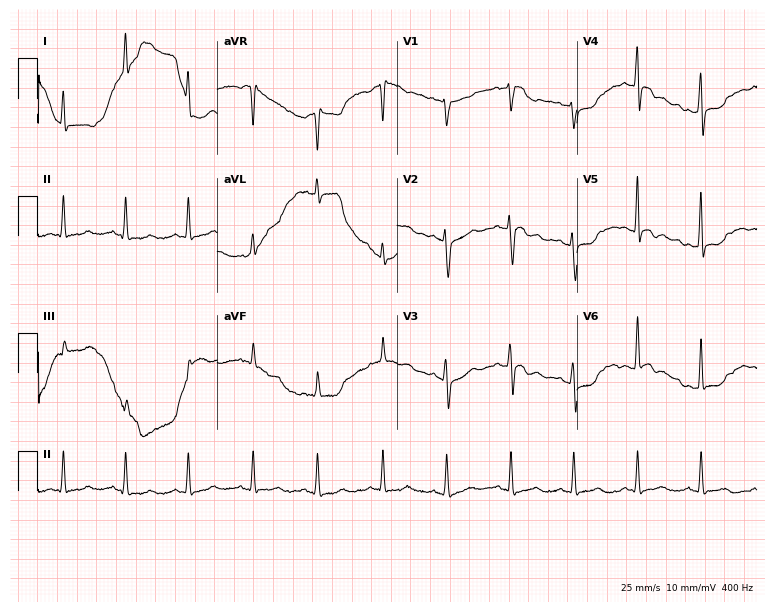
Standard 12-lead ECG recorded from a female patient, 38 years old. None of these six findings is recorded: first-degree AV block, right bundle branch block, left bundle branch block, sinus bradycardia, atrial fibrillation, sinus tachycardia. Findings outside these six are not listed.